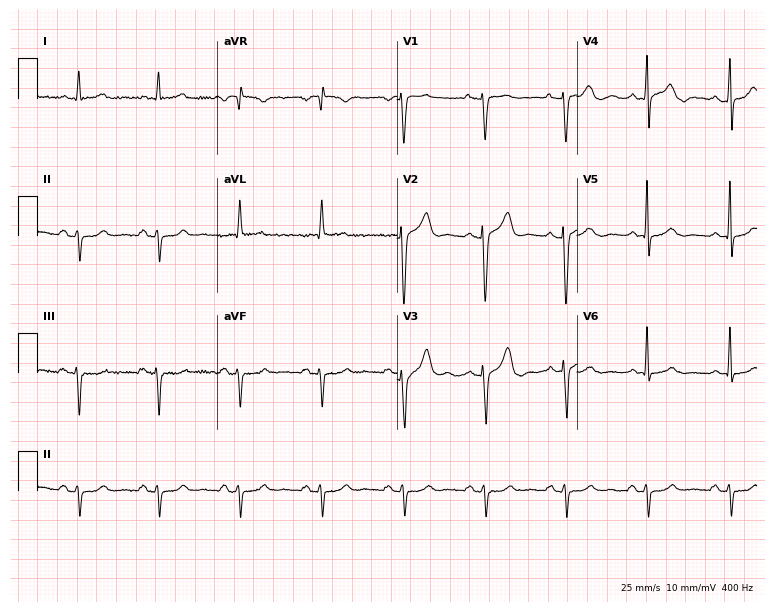
12-lead ECG (7.3-second recording at 400 Hz) from a 63-year-old female patient. Screened for six findings — first-degree AV block, right bundle branch block (RBBB), left bundle branch block (LBBB), sinus bradycardia, atrial fibrillation (AF), sinus tachycardia — none is recorded. Other findings, if any, are not listed.